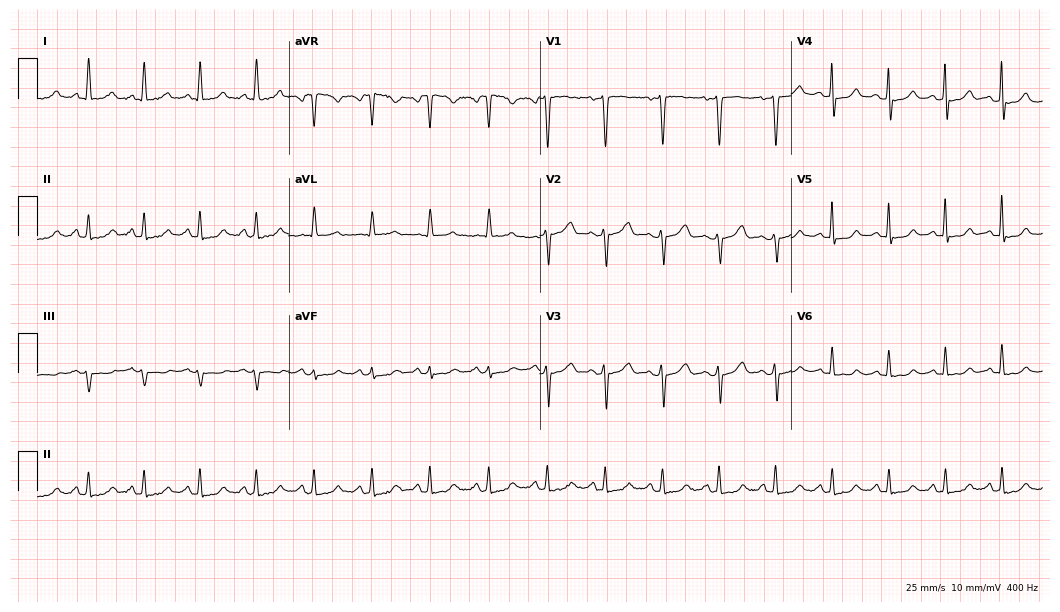
ECG (10.2-second recording at 400 Hz) — a woman, 59 years old. Findings include sinus tachycardia (a sinus rate of 100 beats per minute or more).